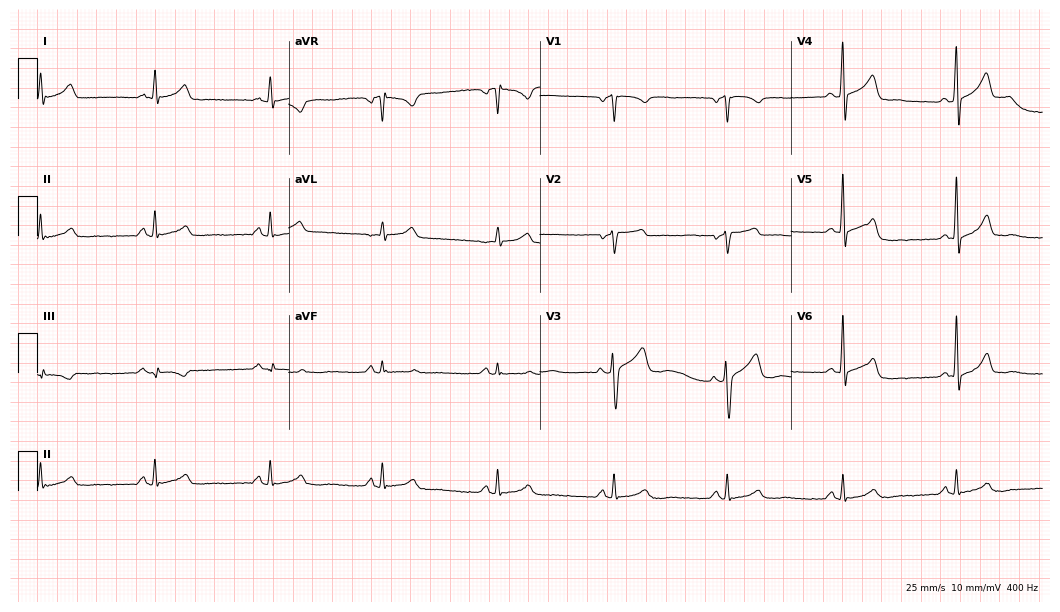
ECG — a man, 50 years old. Labelled as a normal ECG.